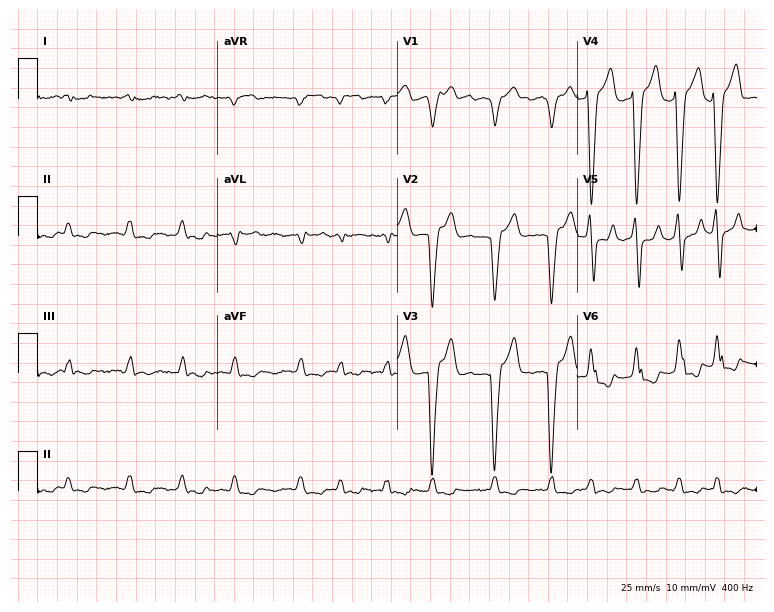
12-lead ECG from a 60-year-old male patient. Shows left bundle branch block, atrial fibrillation.